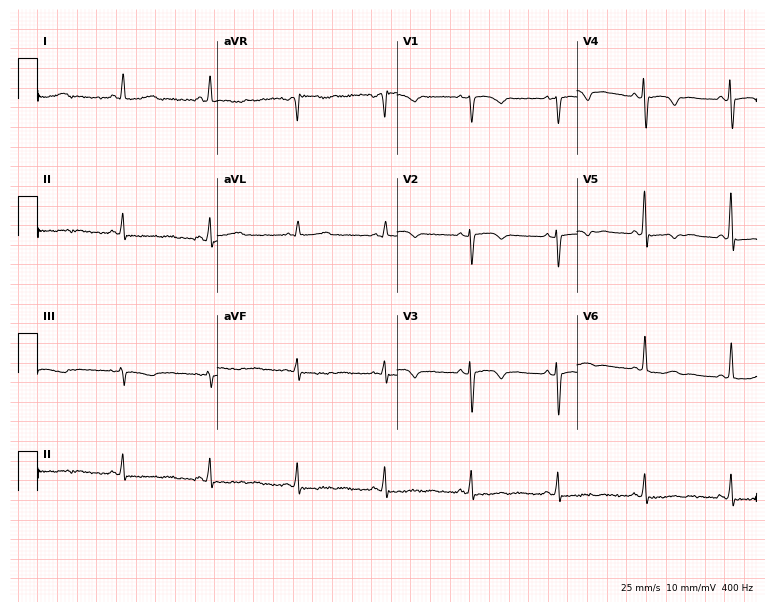
Electrocardiogram (7.3-second recording at 400 Hz), a 60-year-old female patient. Of the six screened findings (first-degree AV block, right bundle branch block, left bundle branch block, sinus bradycardia, atrial fibrillation, sinus tachycardia), none is recorded. Other findings, if any, are not listed.